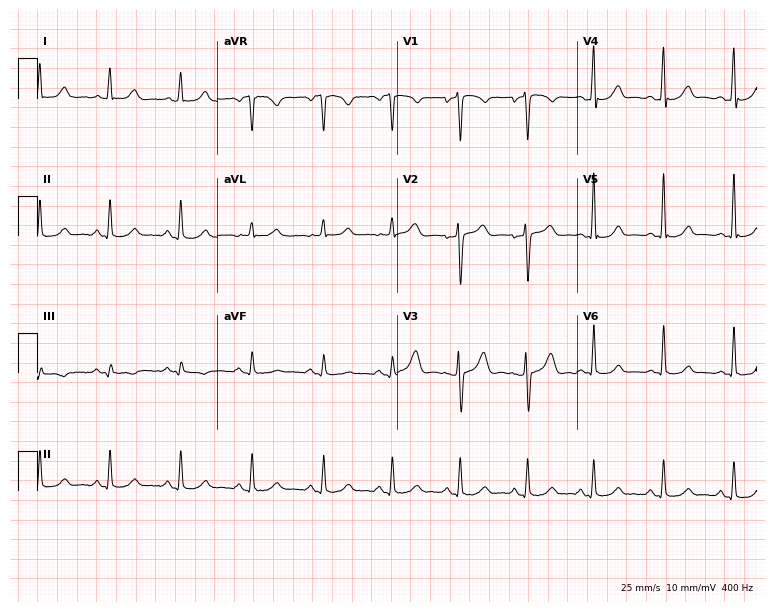
Standard 12-lead ECG recorded from a 45-year-old male patient. None of these six findings is recorded: first-degree AV block, right bundle branch block (RBBB), left bundle branch block (LBBB), sinus bradycardia, atrial fibrillation (AF), sinus tachycardia. Findings outside these six are not listed.